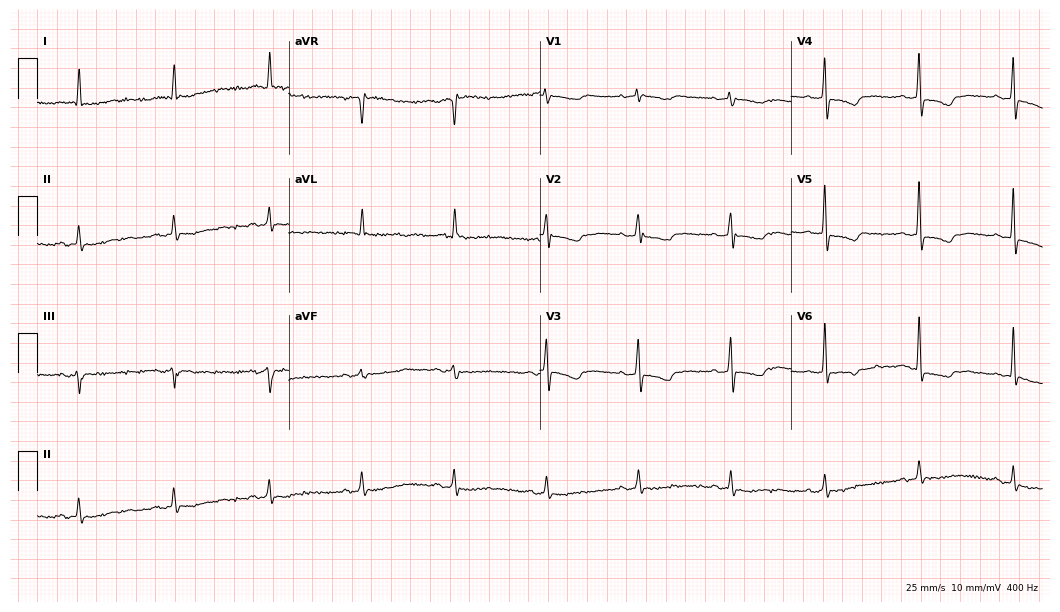
ECG — a female patient, 81 years old. Labelled as a normal ECG.